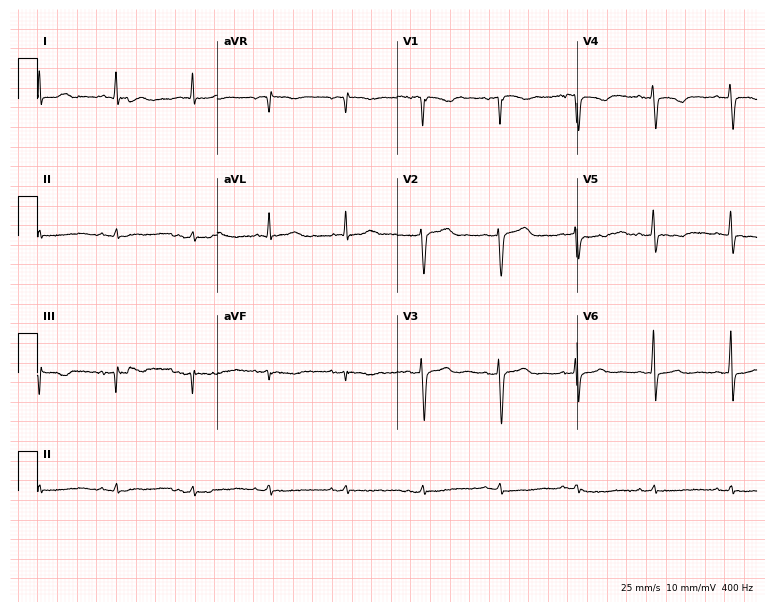
ECG — a 59-year-old female patient. Screened for six findings — first-degree AV block, right bundle branch block, left bundle branch block, sinus bradycardia, atrial fibrillation, sinus tachycardia — none is recorded.